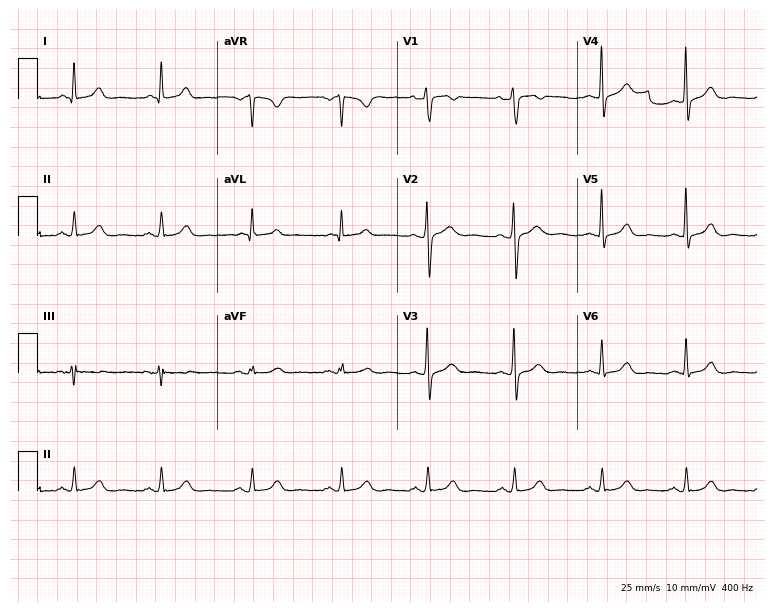
ECG (7.3-second recording at 400 Hz) — a female, 45 years old. Labelled as a normal ECG.